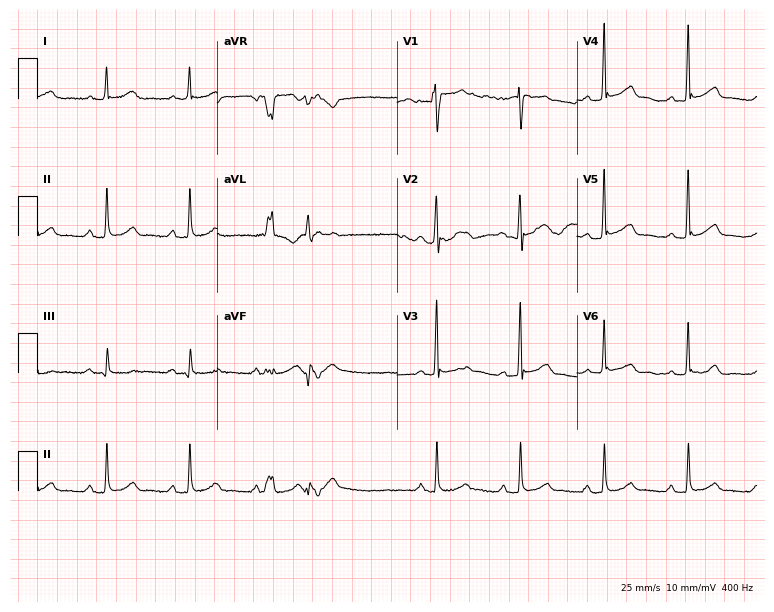
Standard 12-lead ECG recorded from a man, 83 years old. None of these six findings is recorded: first-degree AV block, right bundle branch block (RBBB), left bundle branch block (LBBB), sinus bradycardia, atrial fibrillation (AF), sinus tachycardia.